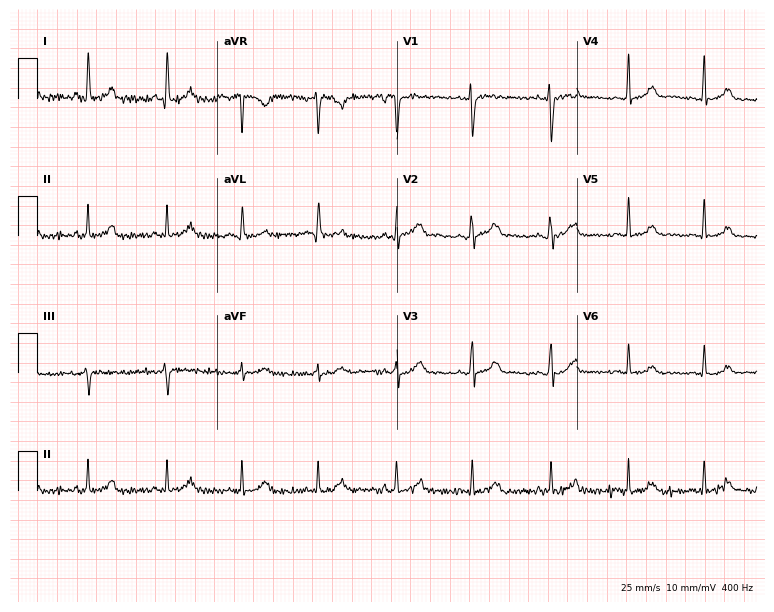
Resting 12-lead electrocardiogram (7.3-second recording at 400 Hz). Patient: a female, 36 years old. Read as a normal ECG.